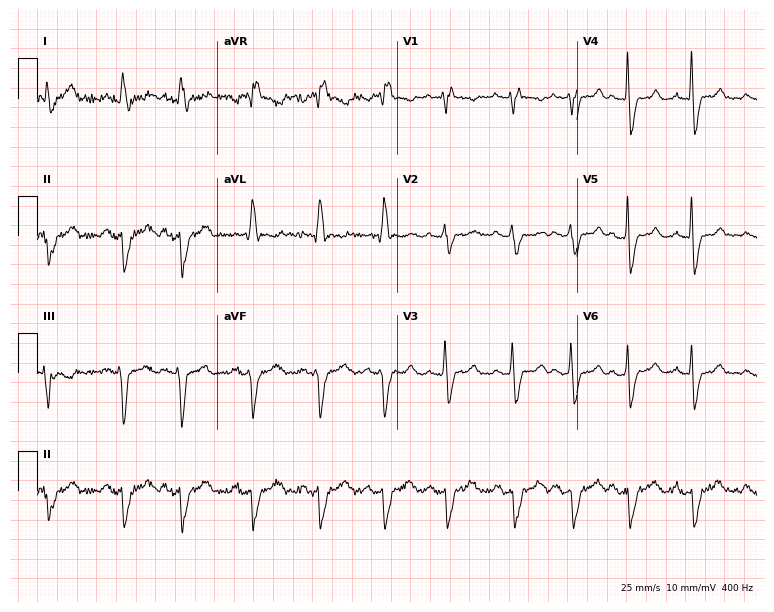
12-lead ECG (7.3-second recording at 400 Hz) from a 66-year-old female patient. Findings include right bundle branch block (RBBB).